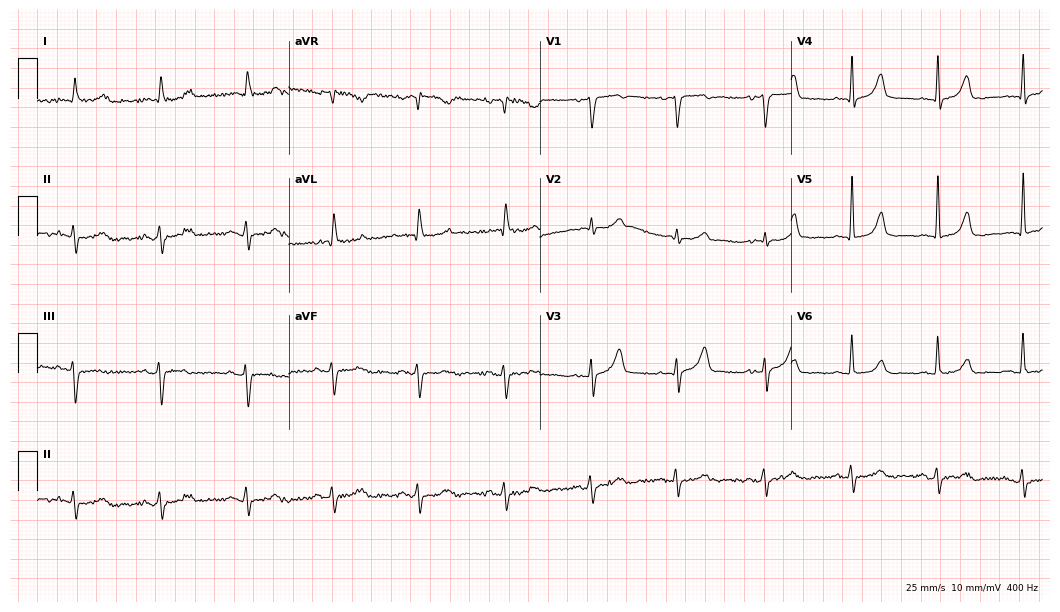
12-lead ECG from a male, 82 years old. No first-degree AV block, right bundle branch block (RBBB), left bundle branch block (LBBB), sinus bradycardia, atrial fibrillation (AF) or sinus tachycardia recorded for this tracing.